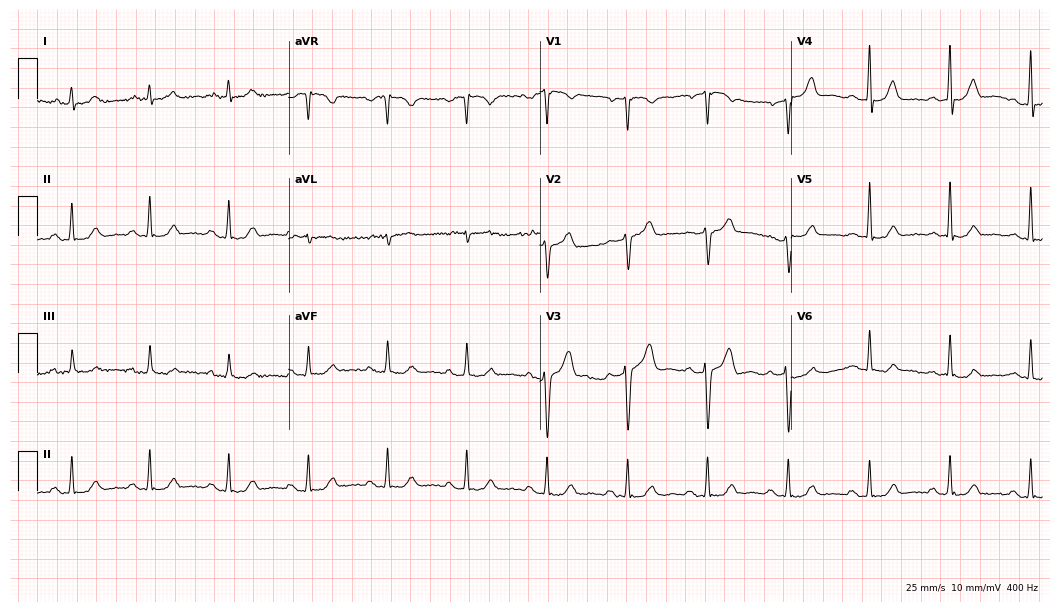
12-lead ECG from a male, 66 years old. Recorded interpretation: within normal limits.